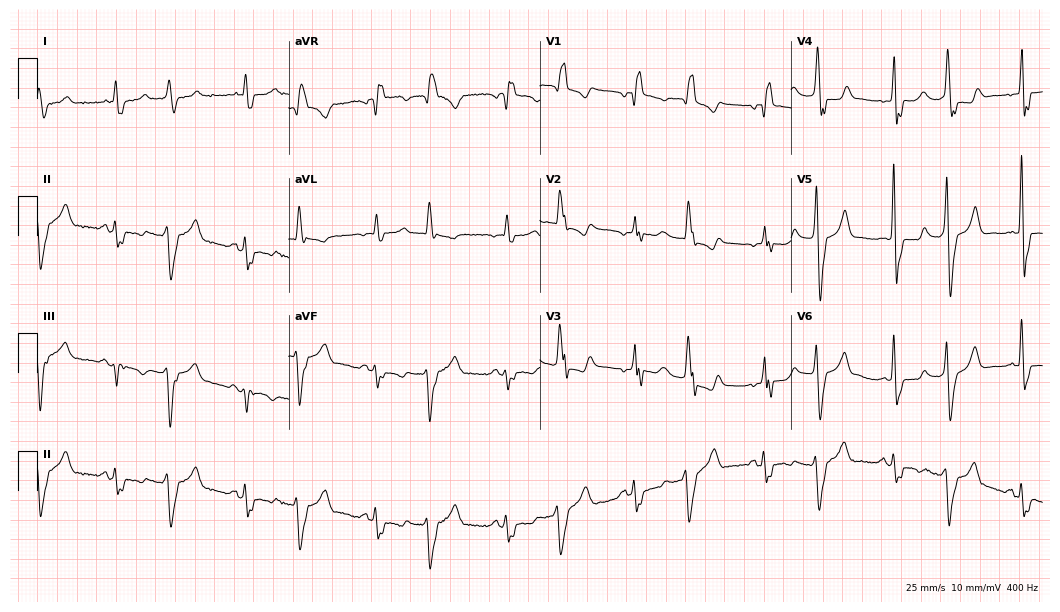
12-lead ECG from an 85-year-old female patient (10.2-second recording at 400 Hz). No first-degree AV block, right bundle branch block (RBBB), left bundle branch block (LBBB), sinus bradycardia, atrial fibrillation (AF) or sinus tachycardia recorded for this tracing. Only these six findings were labelled.